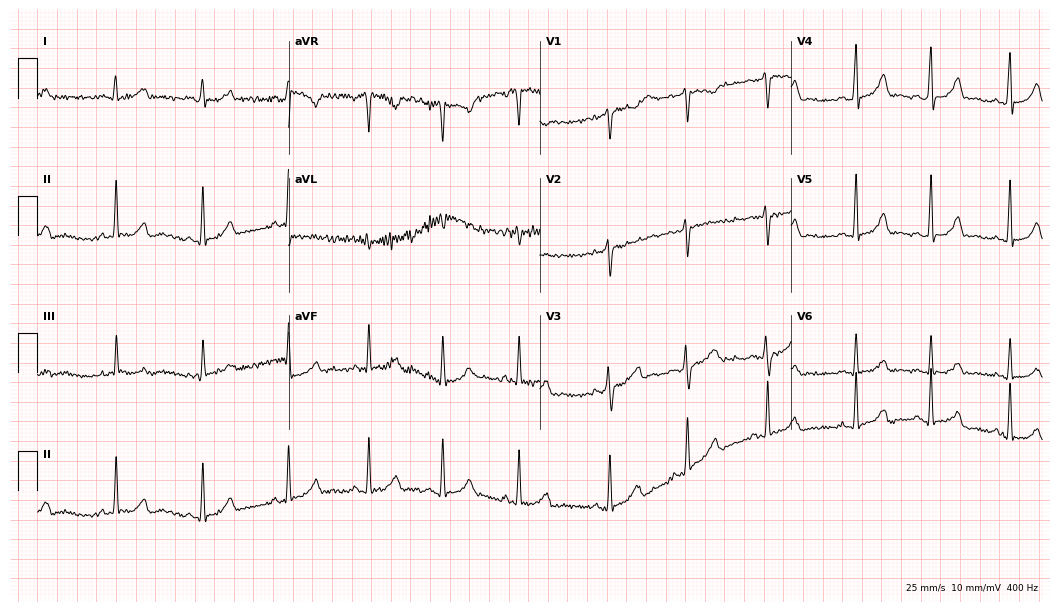
12-lead ECG (10.2-second recording at 400 Hz) from a woman, 26 years old. Screened for six findings — first-degree AV block, right bundle branch block, left bundle branch block, sinus bradycardia, atrial fibrillation, sinus tachycardia — none is recorded. Other findings, if any, are not listed.